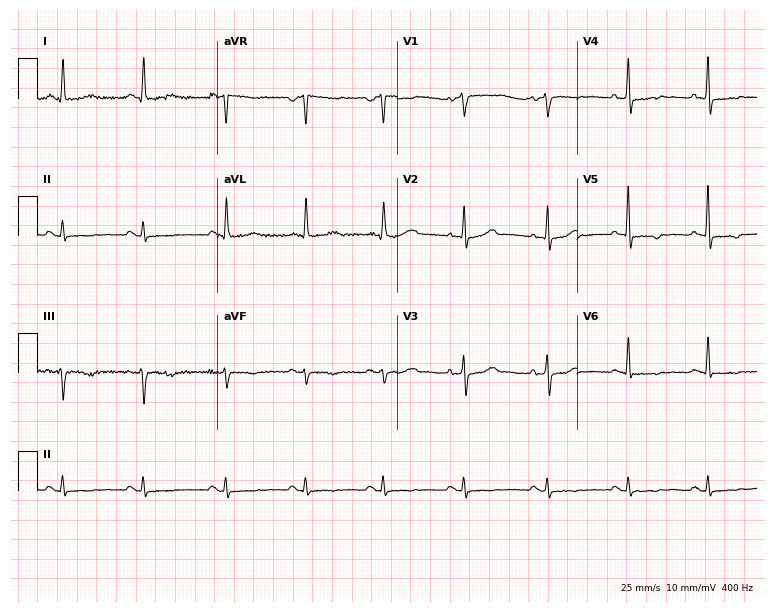
Standard 12-lead ECG recorded from a 50-year-old female (7.3-second recording at 400 Hz). Read as a normal ECG.